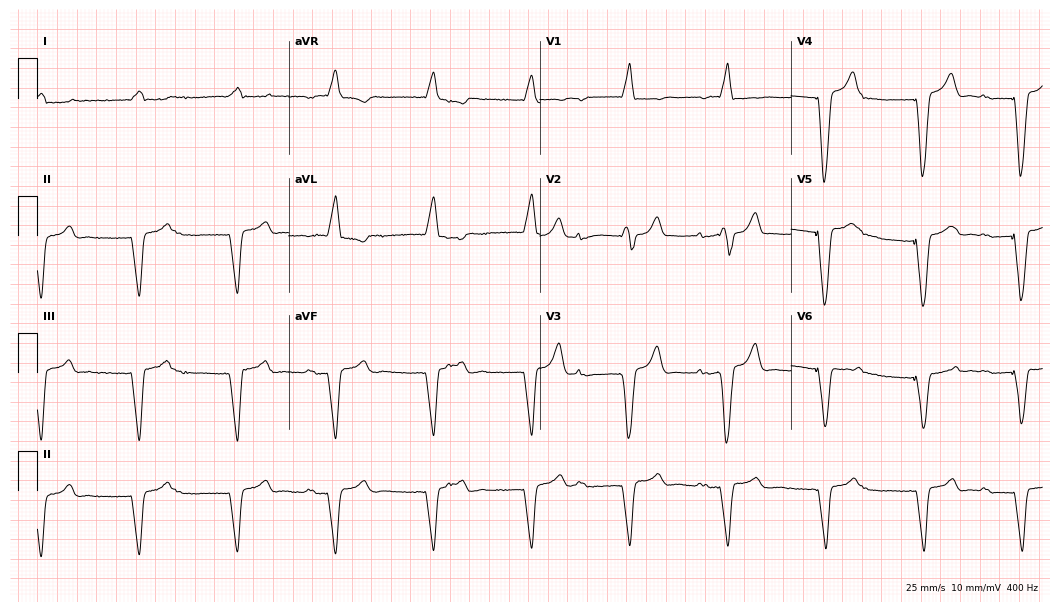
Electrocardiogram (10.2-second recording at 400 Hz), a male, 57 years old. Of the six screened findings (first-degree AV block, right bundle branch block, left bundle branch block, sinus bradycardia, atrial fibrillation, sinus tachycardia), none is recorded.